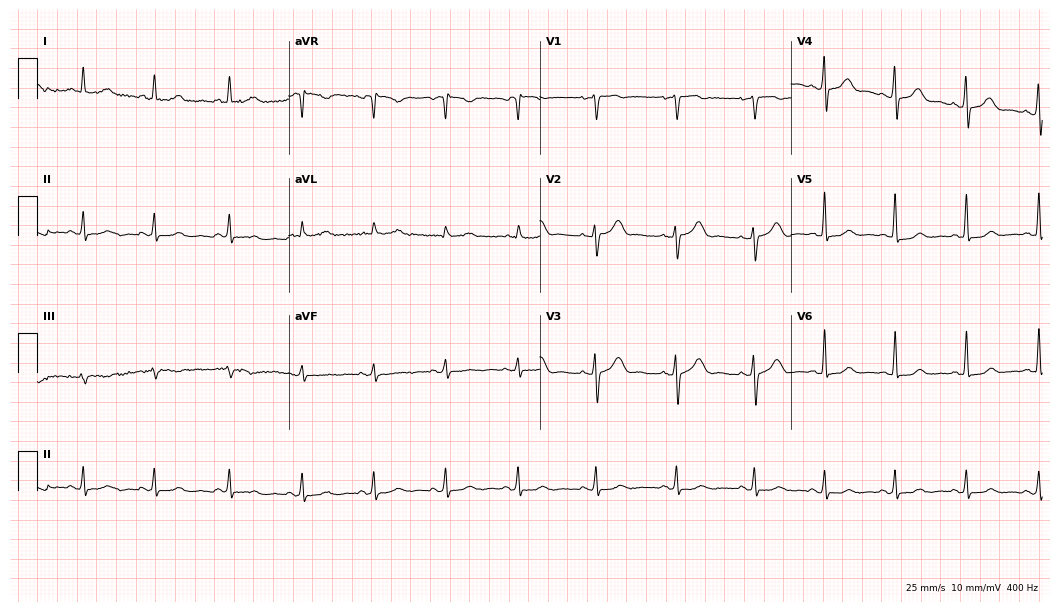
Resting 12-lead electrocardiogram (10.2-second recording at 400 Hz). Patient: a woman, 49 years old. None of these six findings is recorded: first-degree AV block, right bundle branch block, left bundle branch block, sinus bradycardia, atrial fibrillation, sinus tachycardia.